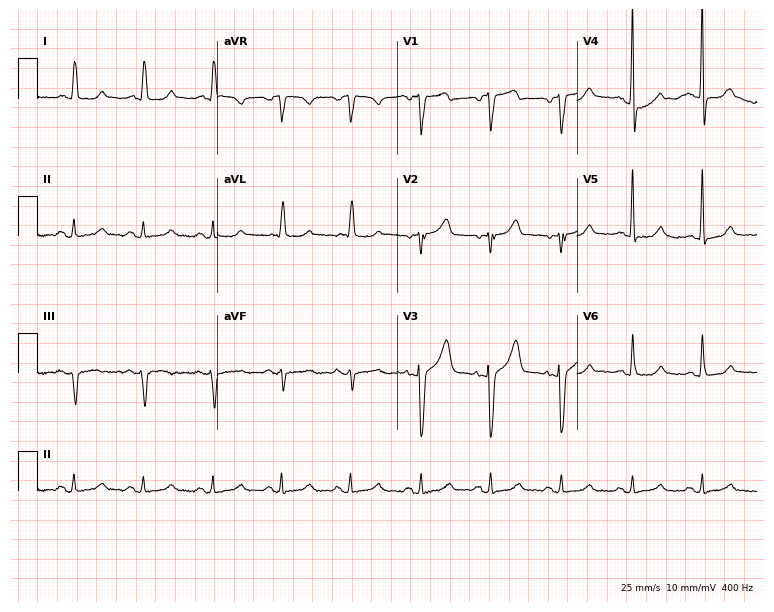
Electrocardiogram, a 66-year-old female. Overall reading on record: normal ECG.